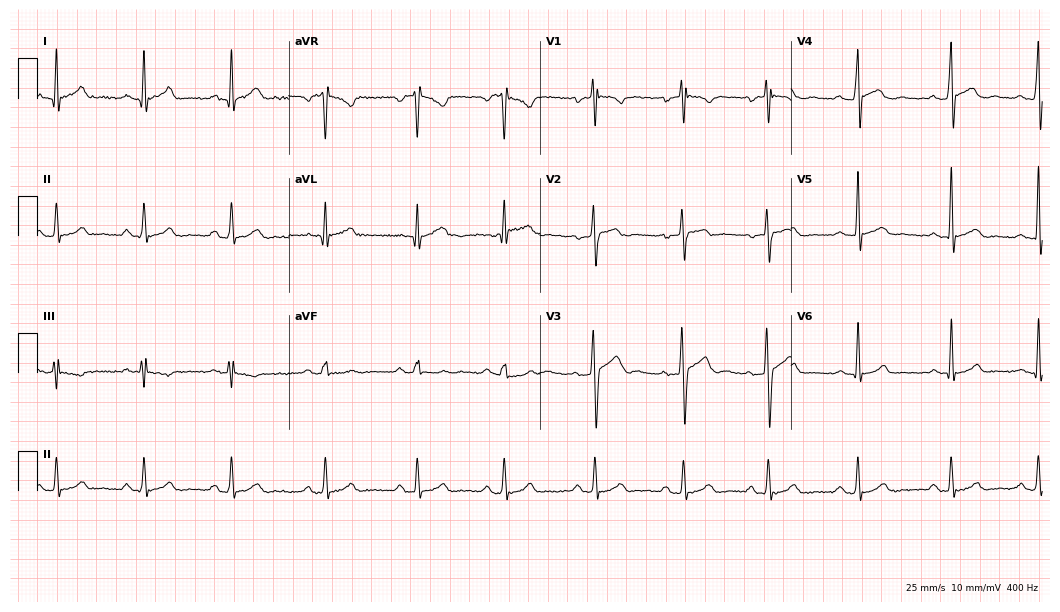
Electrocardiogram, a man, 23 years old. Overall reading on record: normal ECG.